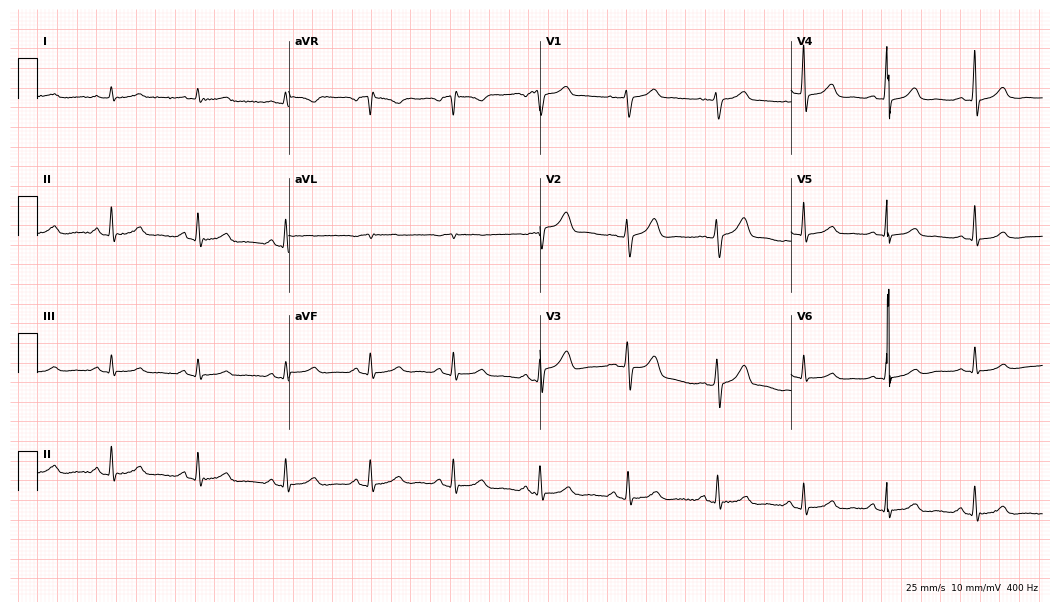
Electrocardiogram, a male patient, 41 years old. Overall reading on record: normal ECG.